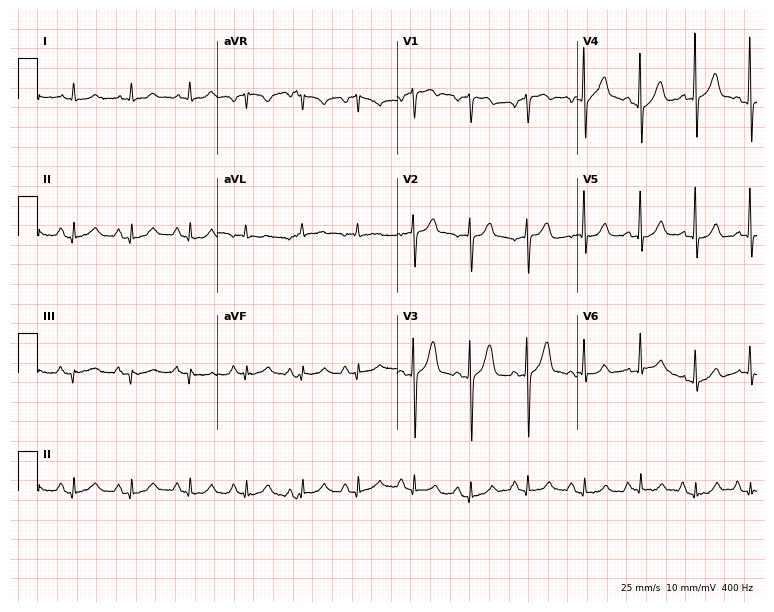
12-lead ECG from a 73-year-old man. Labelled as a normal ECG.